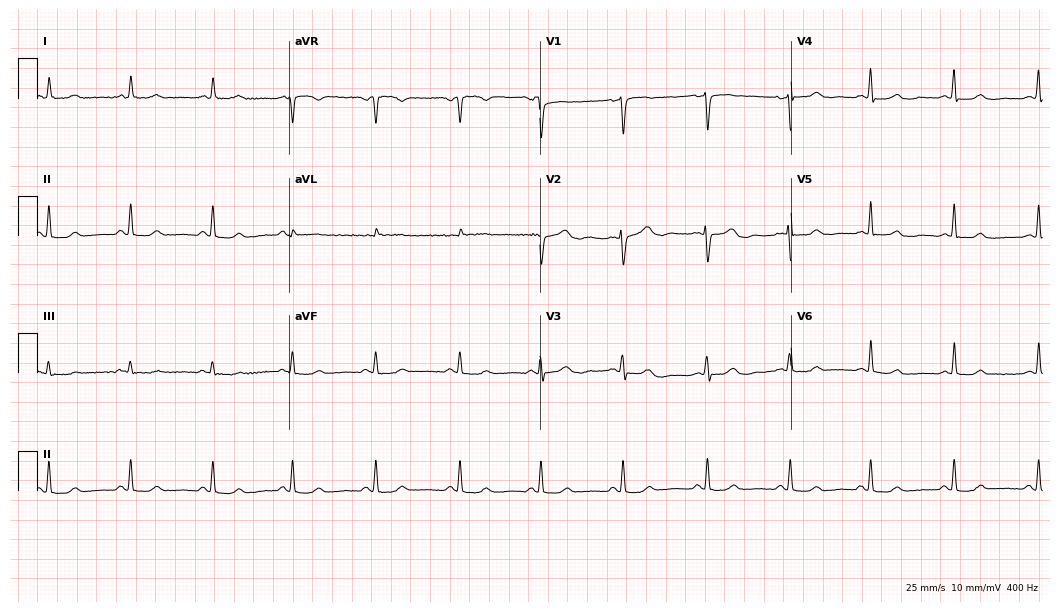
Electrocardiogram (10.2-second recording at 400 Hz), a 45-year-old woman. Of the six screened findings (first-degree AV block, right bundle branch block (RBBB), left bundle branch block (LBBB), sinus bradycardia, atrial fibrillation (AF), sinus tachycardia), none is recorded. Other findings, if any, are not listed.